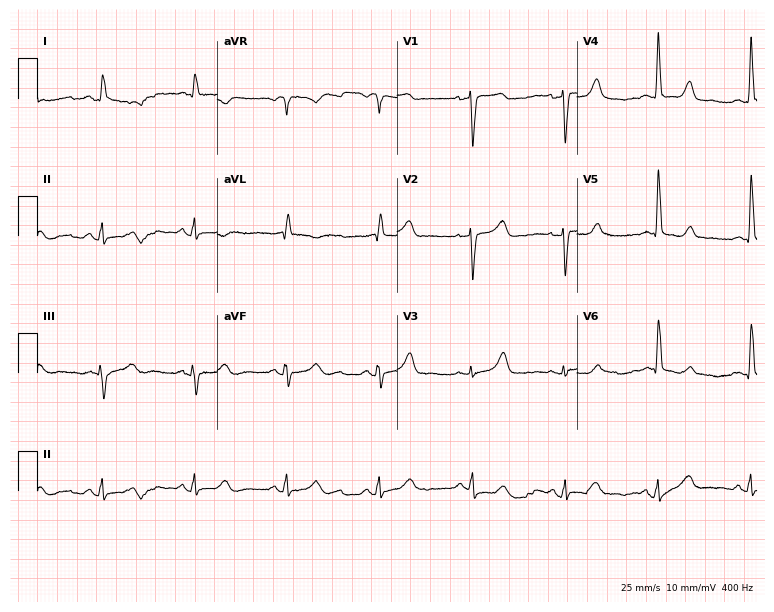
ECG — a female patient, 63 years old. Screened for six findings — first-degree AV block, right bundle branch block, left bundle branch block, sinus bradycardia, atrial fibrillation, sinus tachycardia — none is recorded. Other findings, if any, are not listed.